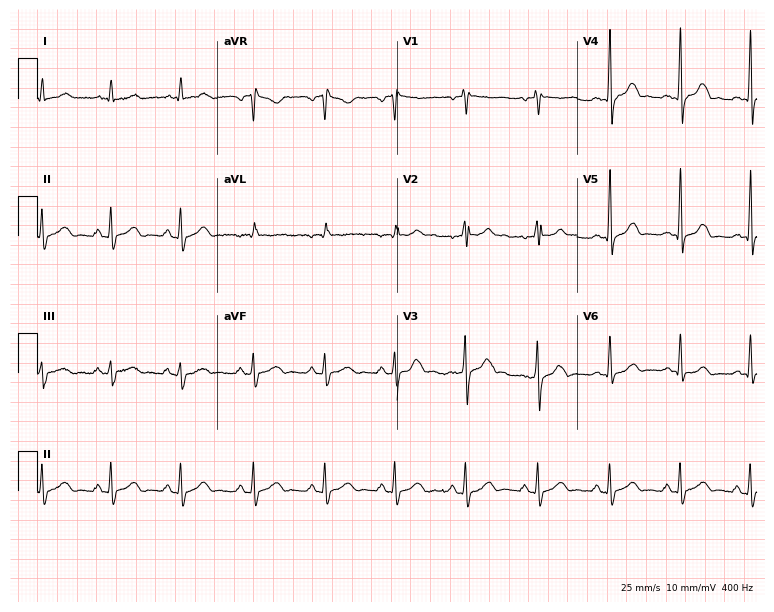
Resting 12-lead electrocardiogram. Patient: a 31-year-old male. None of these six findings is recorded: first-degree AV block, right bundle branch block, left bundle branch block, sinus bradycardia, atrial fibrillation, sinus tachycardia.